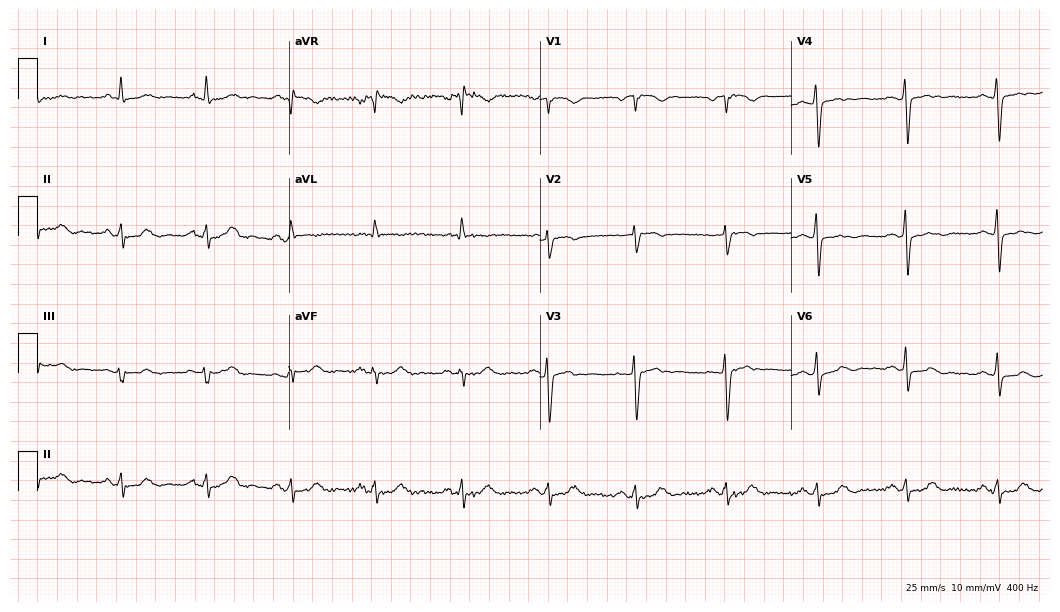
12-lead ECG (10.2-second recording at 400 Hz) from a female, 67 years old. Screened for six findings — first-degree AV block, right bundle branch block, left bundle branch block, sinus bradycardia, atrial fibrillation, sinus tachycardia — none is recorded.